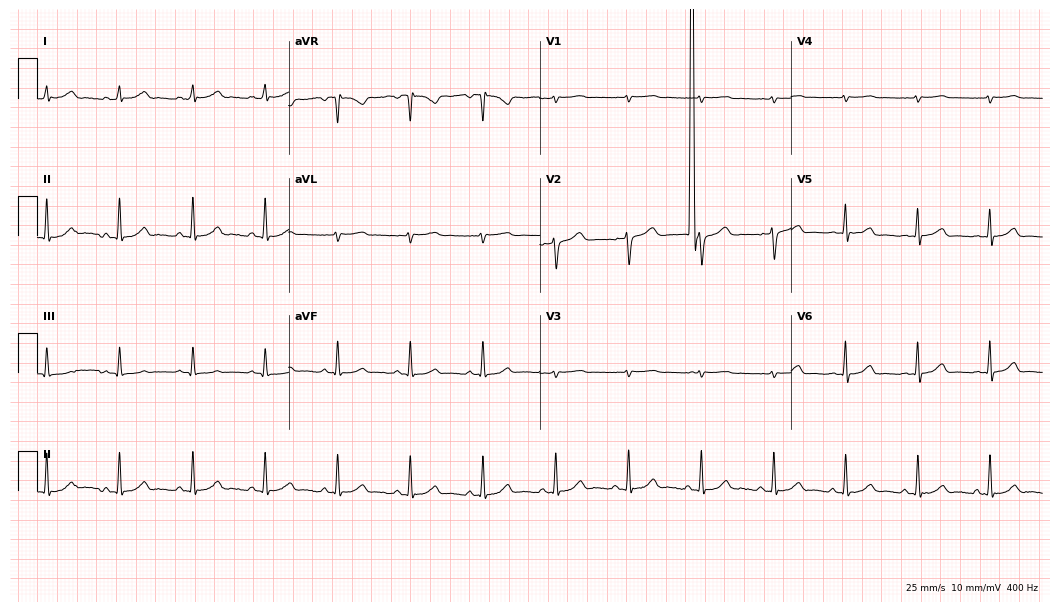
Resting 12-lead electrocardiogram (10.2-second recording at 400 Hz). Patient: a woman, 31 years old. None of these six findings is recorded: first-degree AV block, right bundle branch block, left bundle branch block, sinus bradycardia, atrial fibrillation, sinus tachycardia.